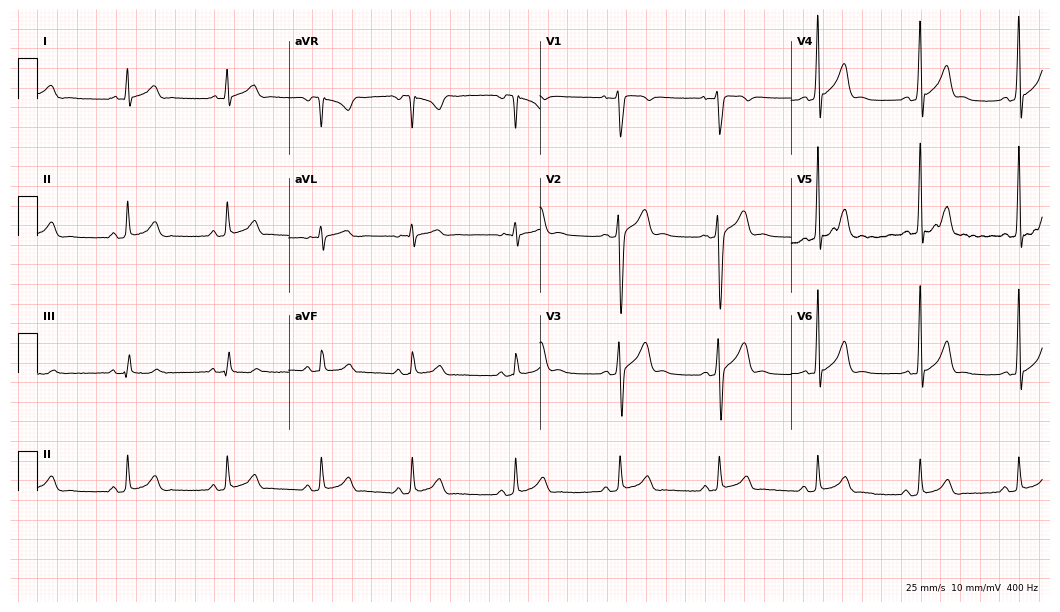
12-lead ECG from a man, 19 years old (10.2-second recording at 400 Hz). Recorded interpretation: within normal limits.